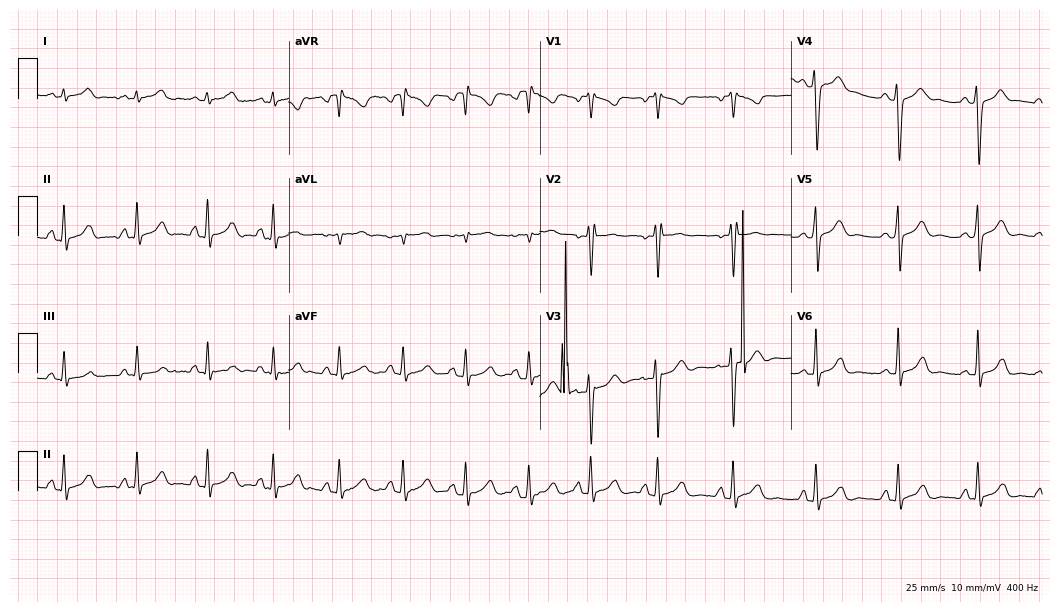
12-lead ECG from a 57-year-old female. Screened for six findings — first-degree AV block, right bundle branch block (RBBB), left bundle branch block (LBBB), sinus bradycardia, atrial fibrillation (AF), sinus tachycardia — none is recorded.